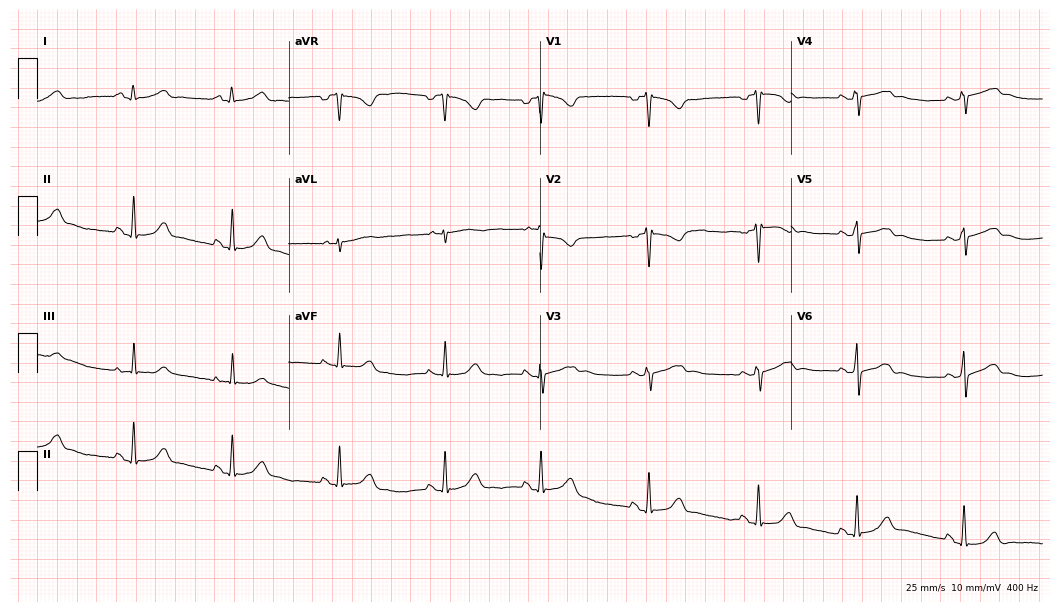
Electrocardiogram (10.2-second recording at 400 Hz), a female patient, 33 years old. Overall reading on record: normal ECG.